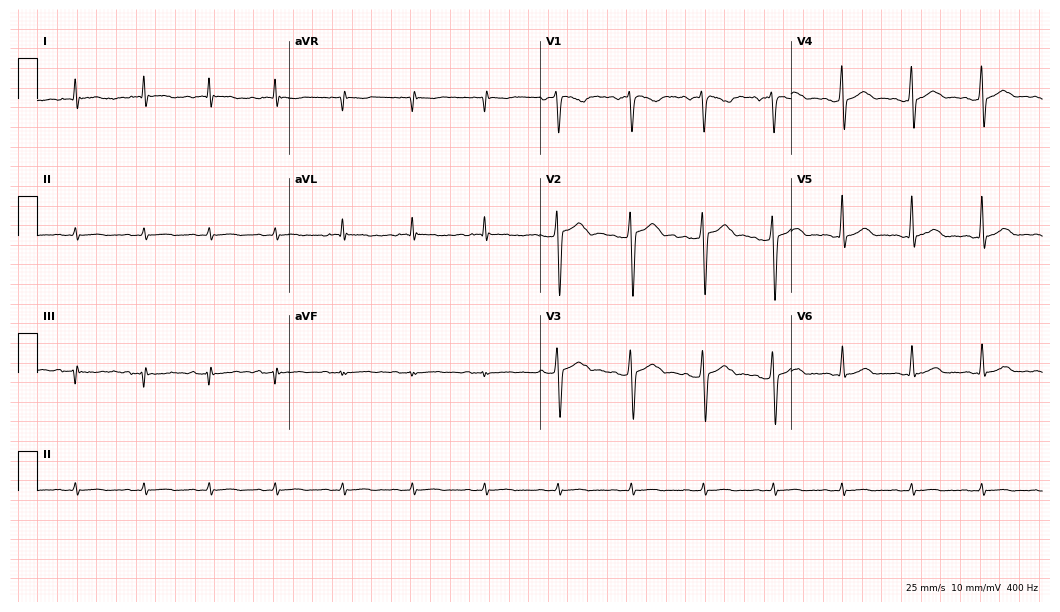
ECG — a male patient, 38 years old. Screened for six findings — first-degree AV block, right bundle branch block, left bundle branch block, sinus bradycardia, atrial fibrillation, sinus tachycardia — none is recorded. Findings outside these six are not listed.